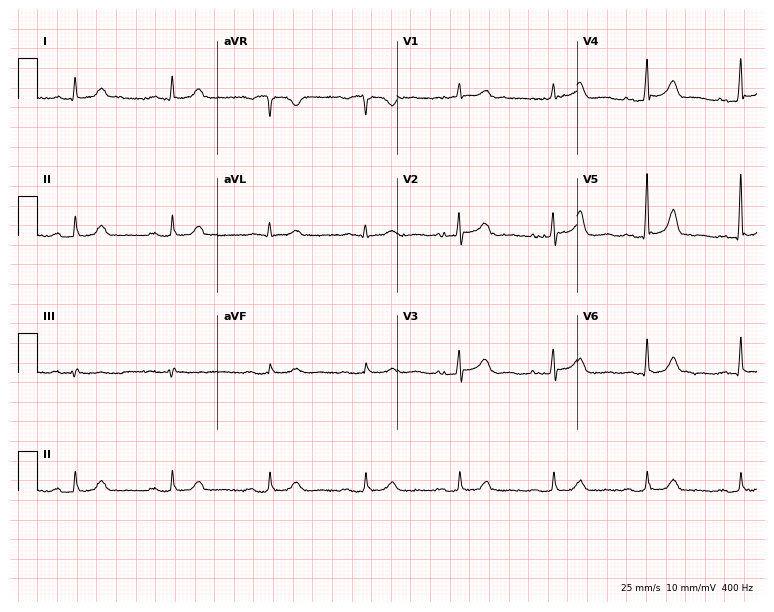
12-lead ECG from a female patient, 56 years old (7.3-second recording at 400 Hz). Shows first-degree AV block.